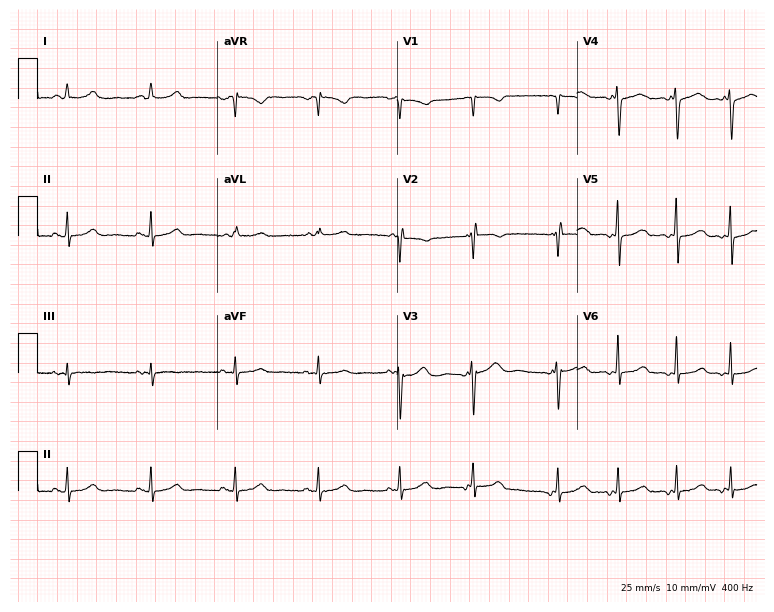
Electrocardiogram, a 60-year-old female. Of the six screened findings (first-degree AV block, right bundle branch block, left bundle branch block, sinus bradycardia, atrial fibrillation, sinus tachycardia), none is recorded.